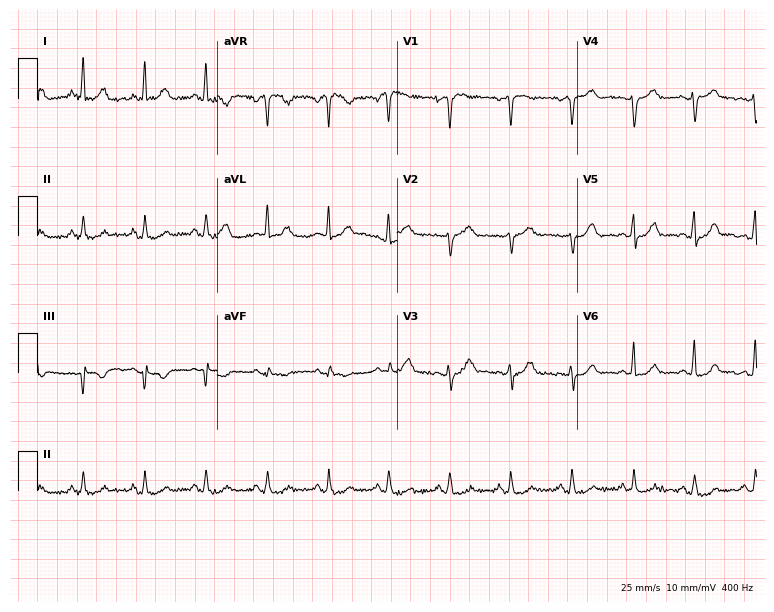
Standard 12-lead ECG recorded from a 48-year-old female (7.3-second recording at 400 Hz). None of these six findings is recorded: first-degree AV block, right bundle branch block (RBBB), left bundle branch block (LBBB), sinus bradycardia, atrial fibrillation (AF), sinus tachycardia. Only these six findings were labelled.